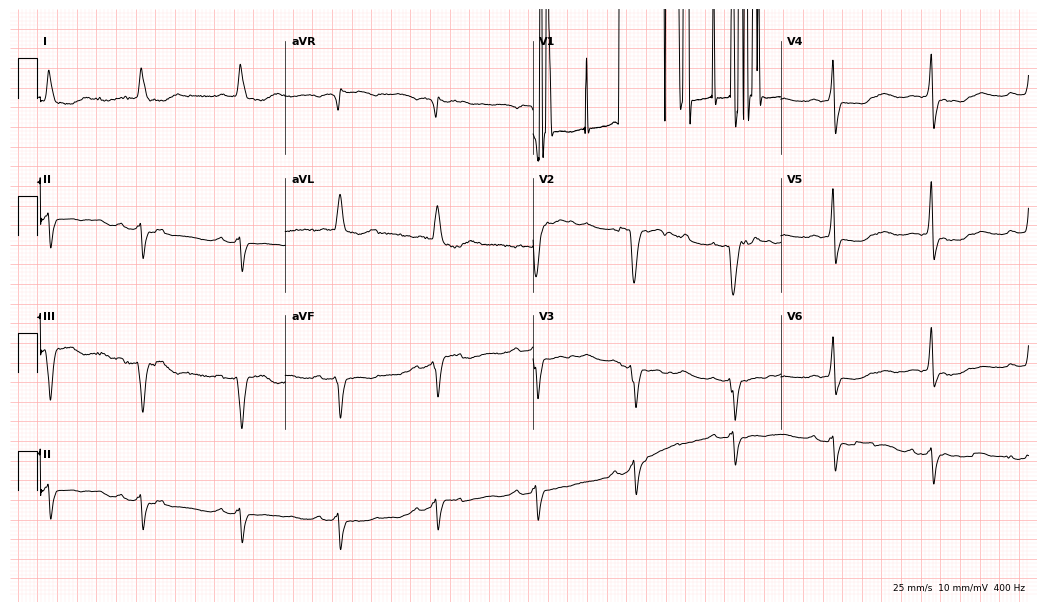
Standard 12-lead ECG recorded from a 75-year-old female (10.1-second recording at 400 Hz). None of these six findings is recorded: first-degree AV block, right bundle branch block, left bundle branch block, sinus bradycardia, atrial fibrillation, sinus tachycardia.